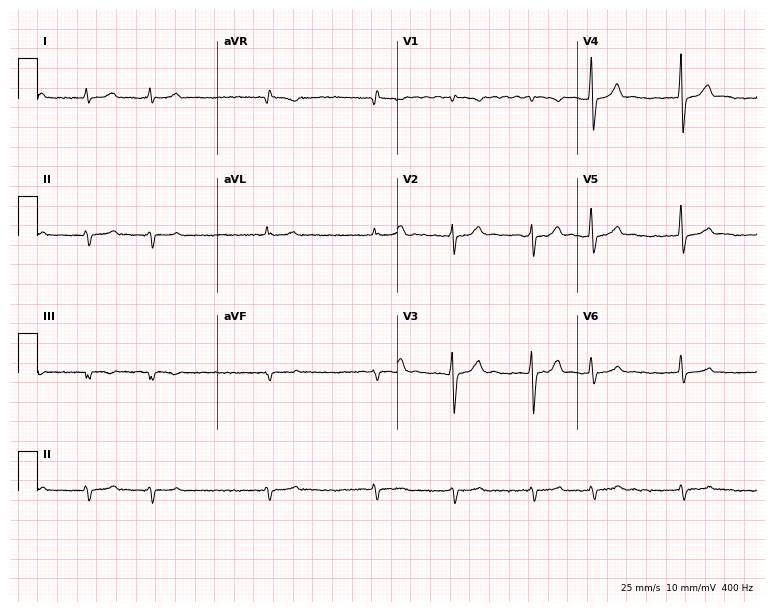
12-lead ECG (7.3-second recording at 400 Hz) from a 74-year-old man. Findings include atrial fibrillation.